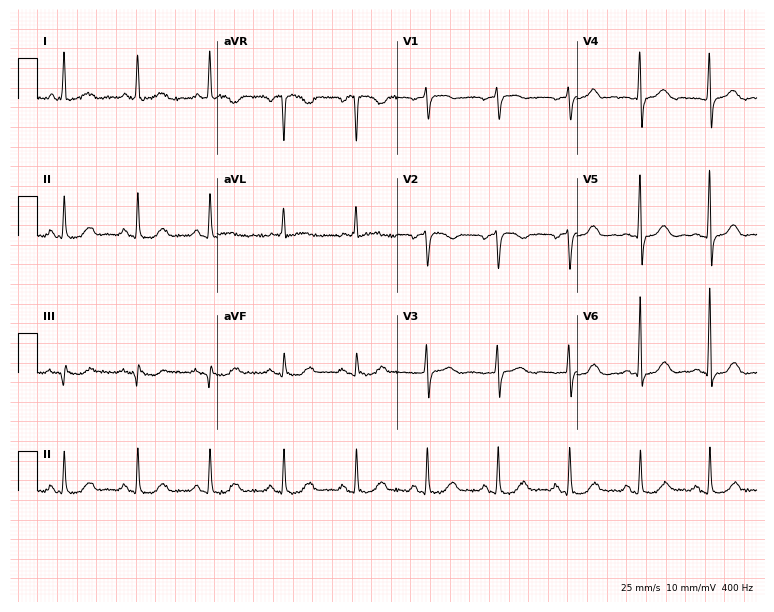
Resting 12-lead electrocardiogram. Patient: a female, 66 years old. None of these six findings is recorded: first-degree AV block, right bundle branch block, left bundle branch block, sinus bradycardia, atrial fibrillation, sinus tachycardia. Findings outside these six are not listed.